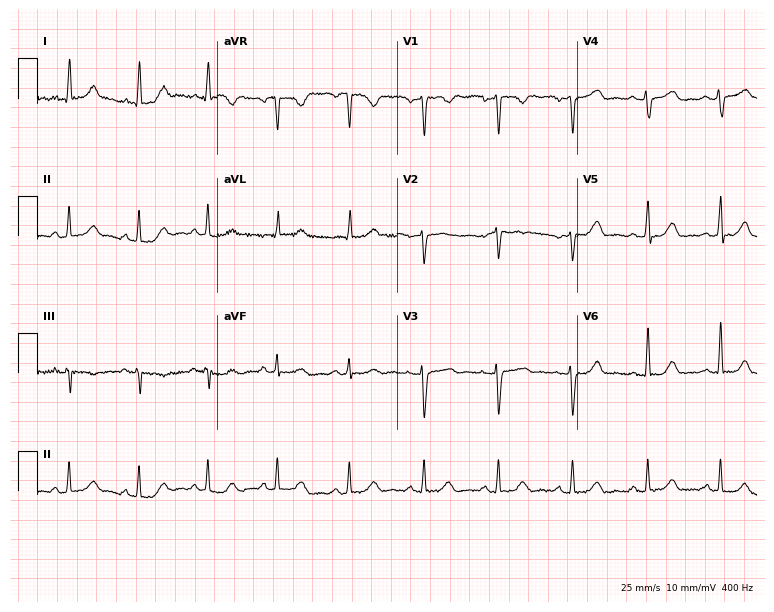
12-lead ECG from a female patient, 45 years old. Labelled as a normal ECG.